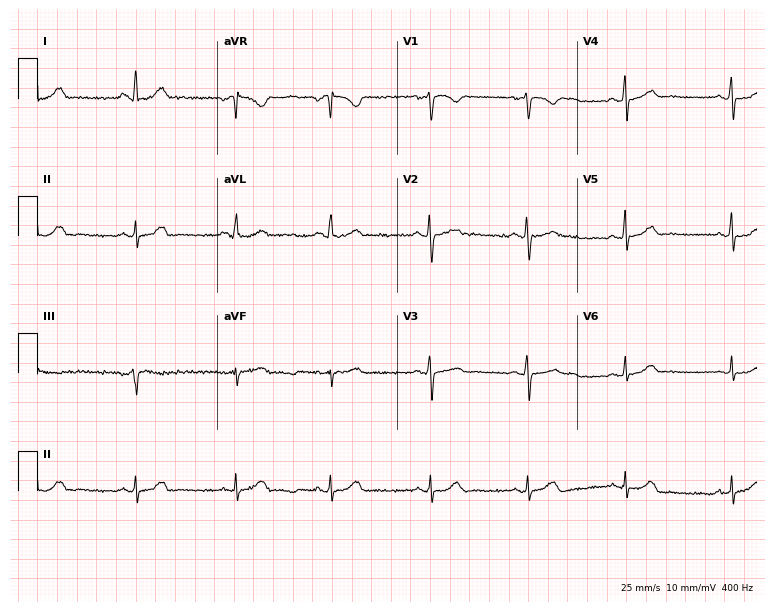
Resting 12-lead electrocardiogram. Patient: a woman, 36 years old. Read as a normal ECG.